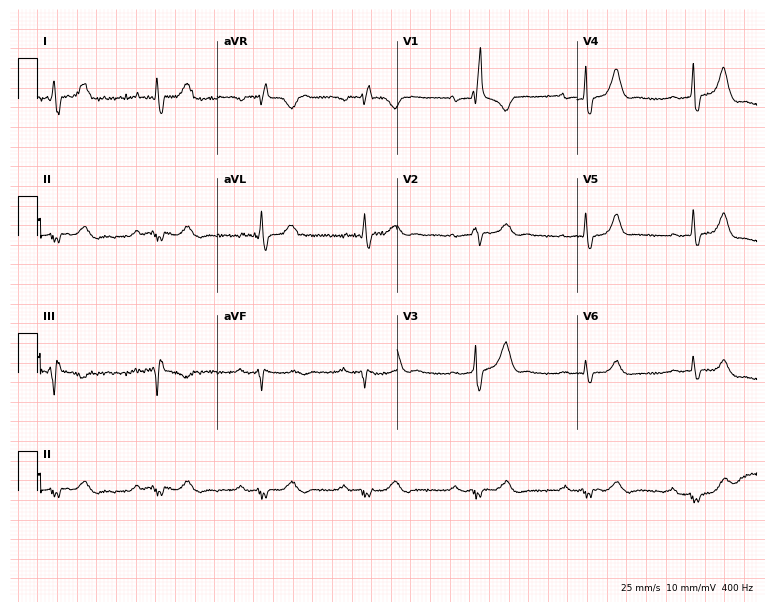
ECG (7.3-second recording at 400 Hz) — a 65-year-old male patient. Findings include right bundle branch block (RBBB).